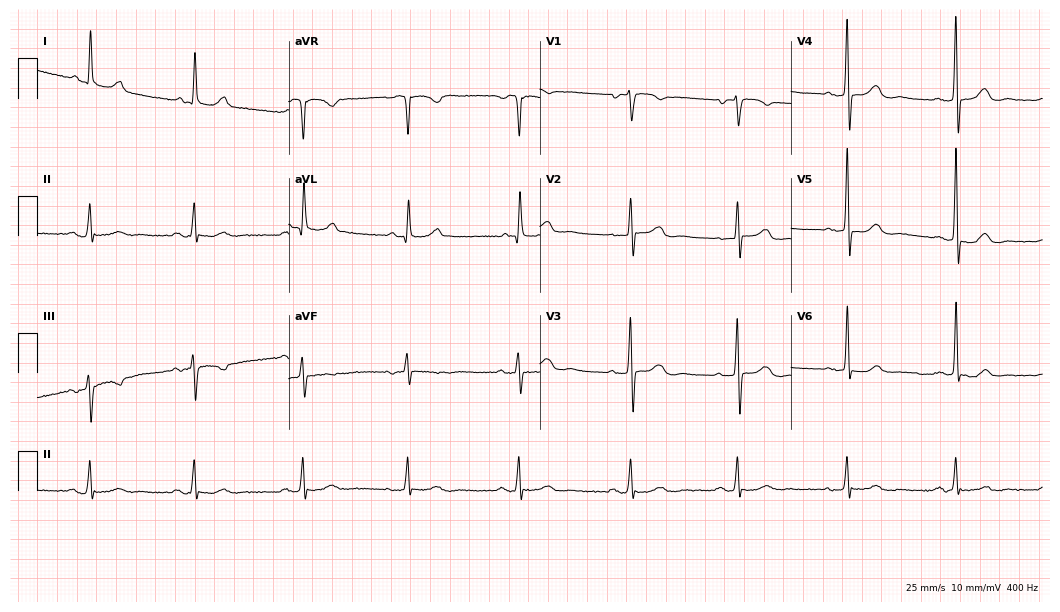
Electrocardiogram, a female patient, 72 years old. Overall reading on record: normal ECG.